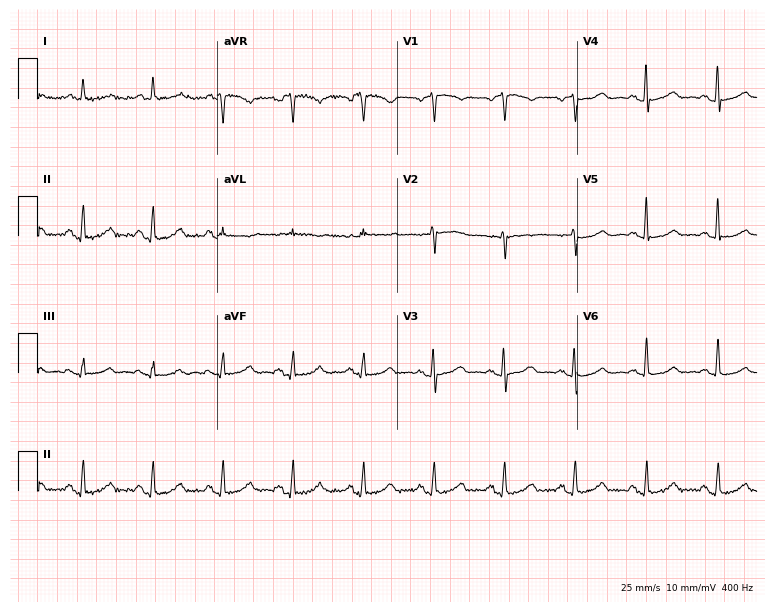
Electrocardiogram, a 67-year-old woman. Overall reading on record: normal ECG.